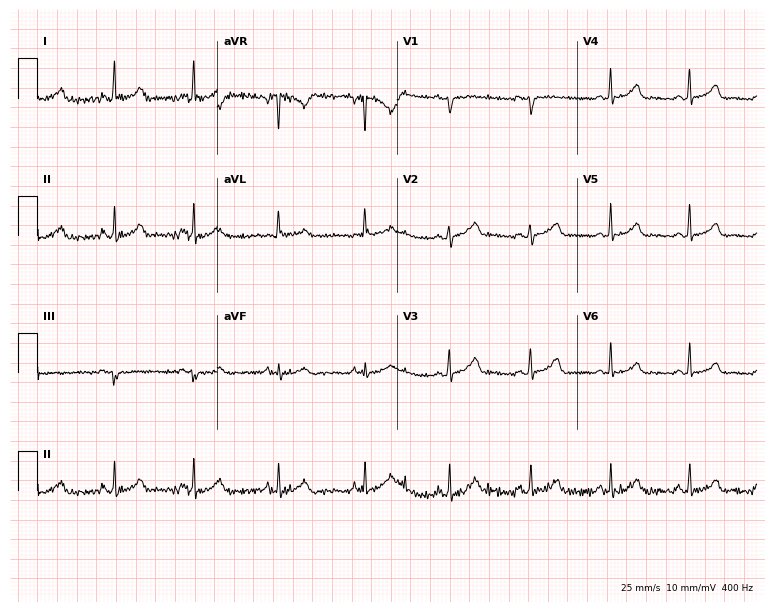
12-lead ECG (7.3-second recording at 400 Hz) from a 35-year-old female. Labelled as a normal ECG.